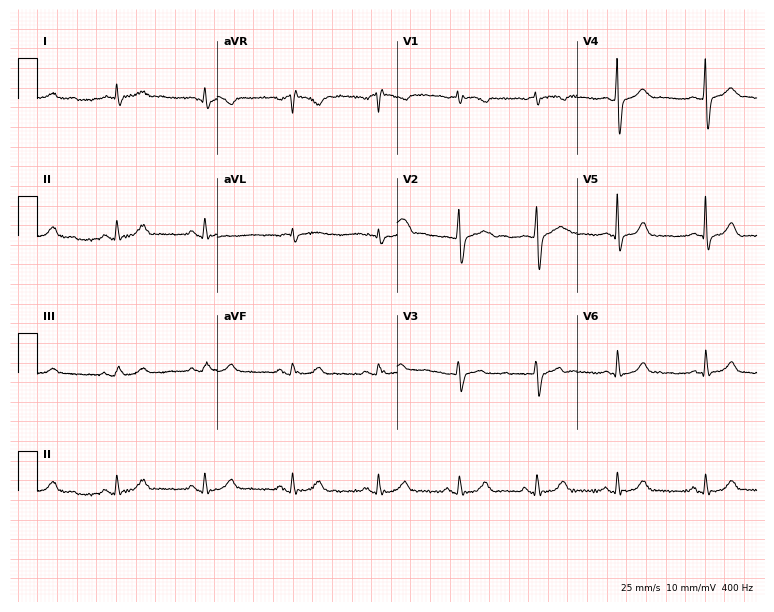
12-lead ECG from a male patient, 49 years old. Labelled as a normal ECG.